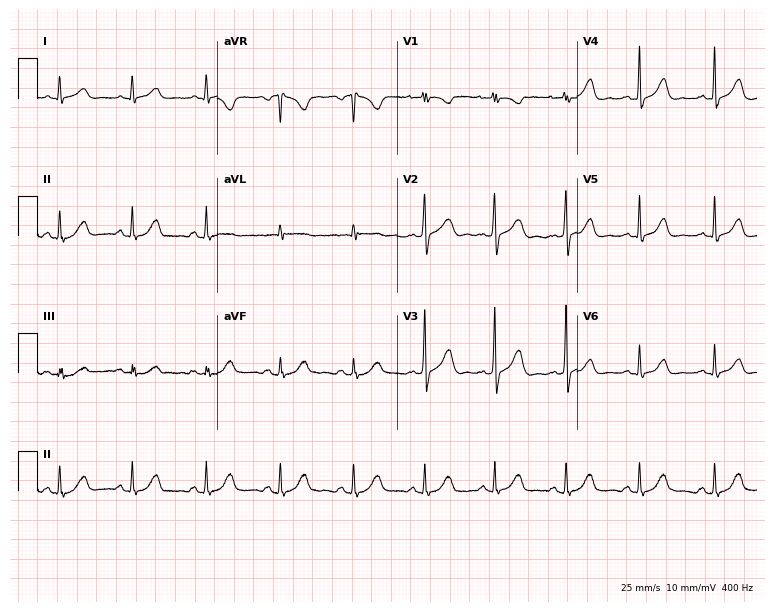
Electrocardiogram, a 29-year-old female patient. Of the six screened findings (first-degree AV block, right bundle branch block, left bundle branch block, sinus bradycardia, atrial fibrillation, sinus tachycardia), none is recorded. Other findings, if any, are not listed.